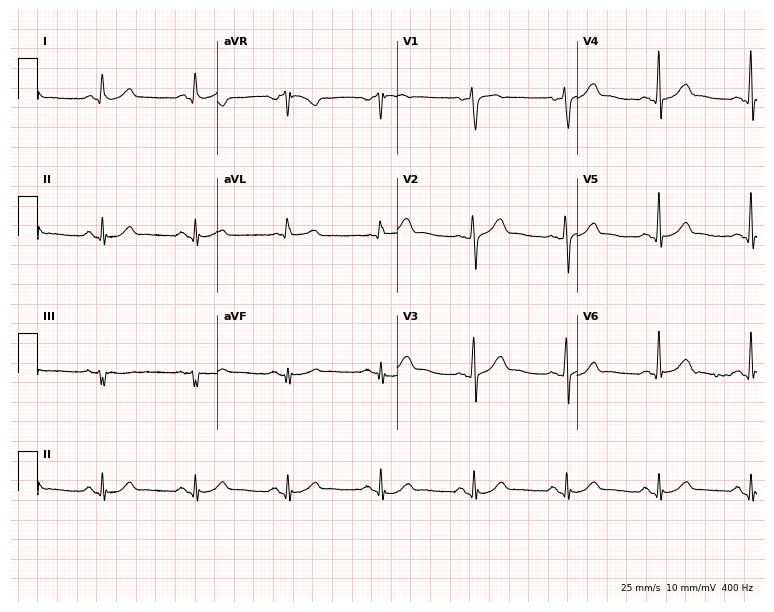
12-lead ECG from a 53-year-old male patient (7.3-second recording at 400 Hz). No first-degree AV block, right bundle branch block, left bundle branch block, sinus bradycardia, atrial fibrillation or sinus tachycardia recorded for this tracing.